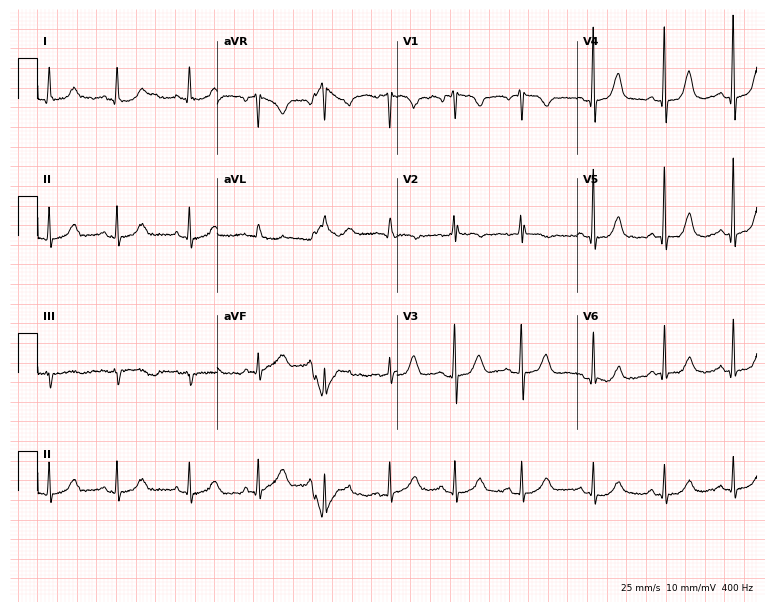
Resting 12-lead electrocardiogram (7.3-second recording at 400 Hz). Patient: a female, 78 years old. None of these six findings is recorded: first-degree AV block, right bundle branch block, left bundle branch block, sinus bradycardia, atrial fibrillation, sinus tachycardia. Only these six findings were labelled.